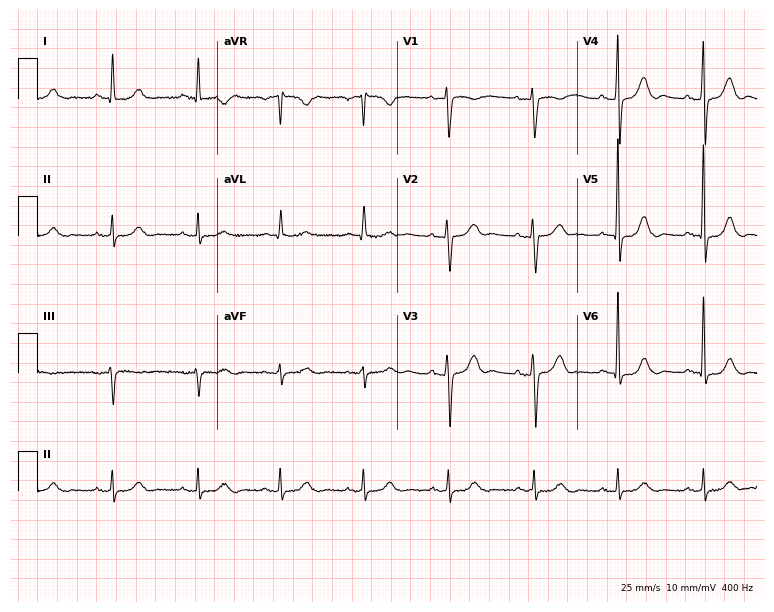
Electrocardiogram (7.3-second recording at 400 Hz), a female, 73 years old. Overall reading on record: normal ECG.